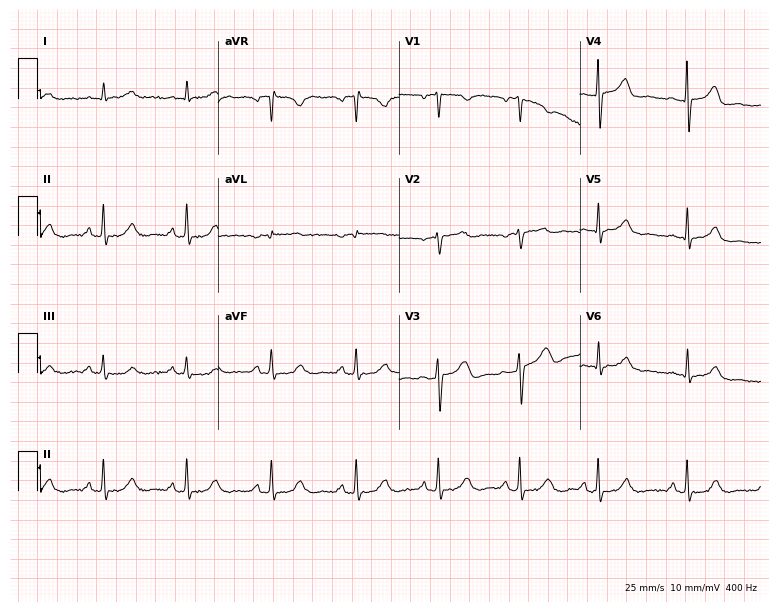
ECG — a woman, 50 years old. Labelled as a normal ECG.